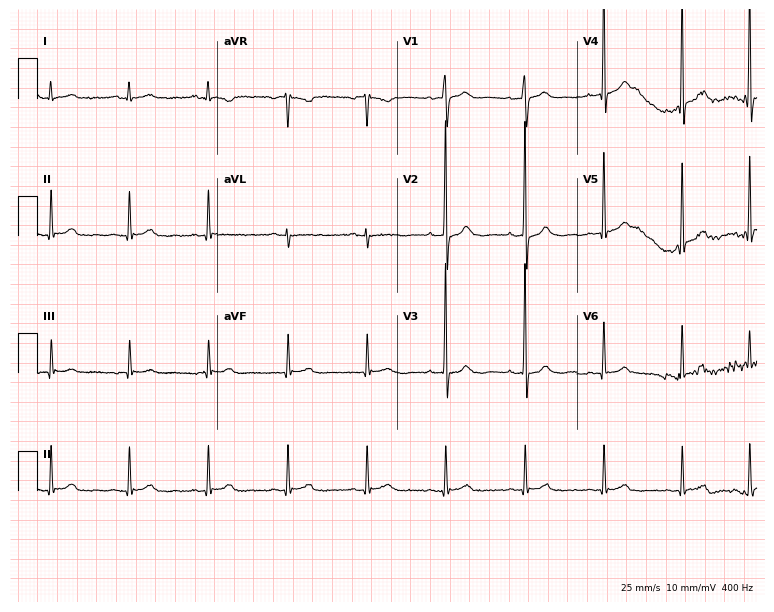
Electrocardiogram (7.3-second recording at 400 Hz), a male patient, 20 years old. Overall reading on record: normal ECG.